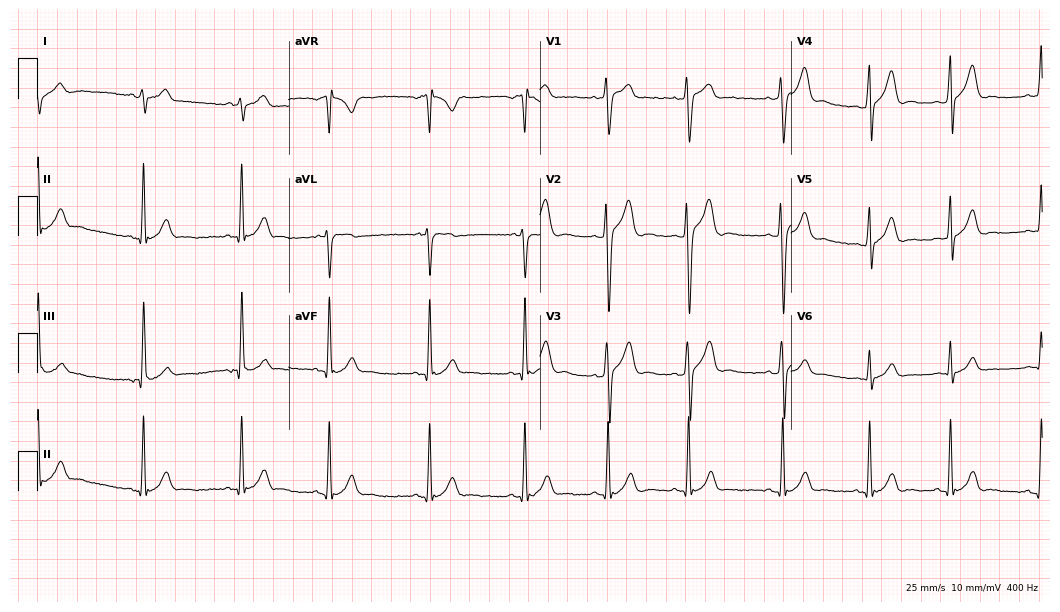
Electrocardiogram (10.2-second recording at 400 Hz), a 26-year-old male. Overall reading on record: normal ECG.